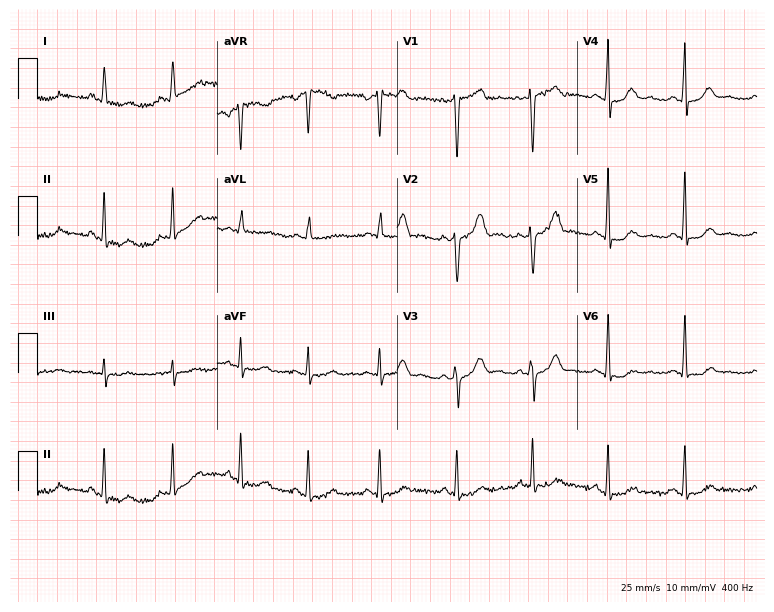
12-lead ECG from a 31-year-old female (7.3-second recording at 400 Hz). Recorded interpretation: within normal limits.